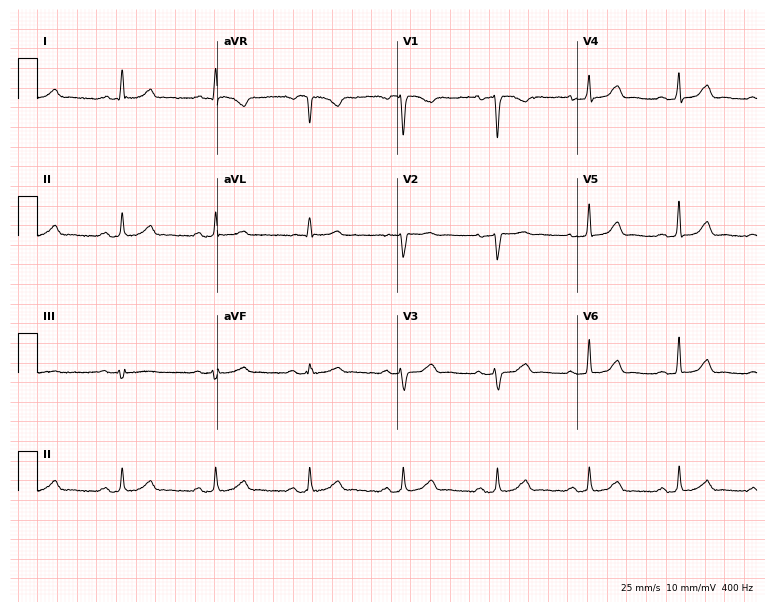
12-lead ECG (7.3-second recording at 400 Hz) from a 53-year-old female patient. Labelled as a normal ECG.